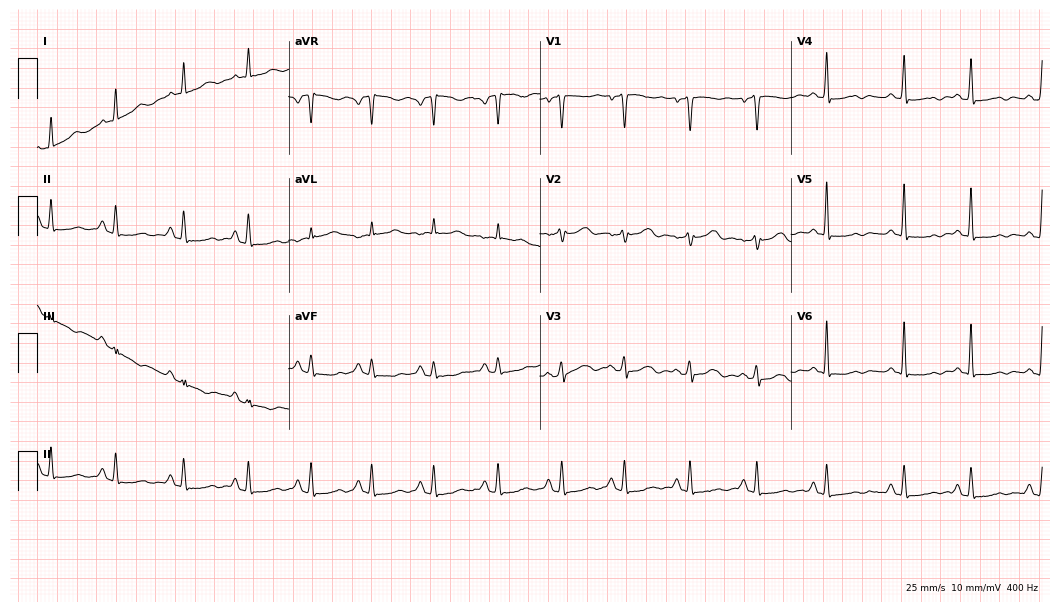
Standard 12-lead ECG recorded from a woman, 53 years old. Read as a normal ECG.